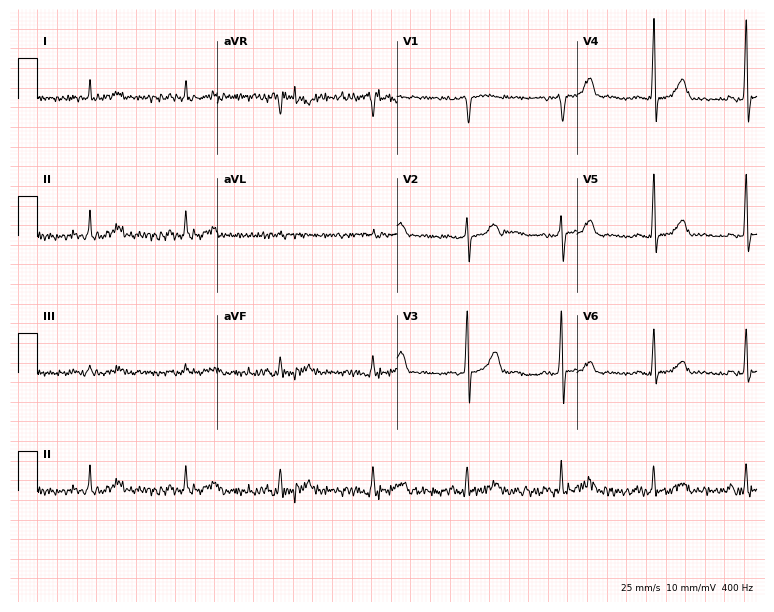
Electrocardiogram, a 68-year-old man. Of the six screened findings (first-degree AV block, right bundle branch block (RBBB), left bundle branch block (LBBB), sinus bradycardia, atrial fibrillation (AF), sinus tachycardia), none is recorded.